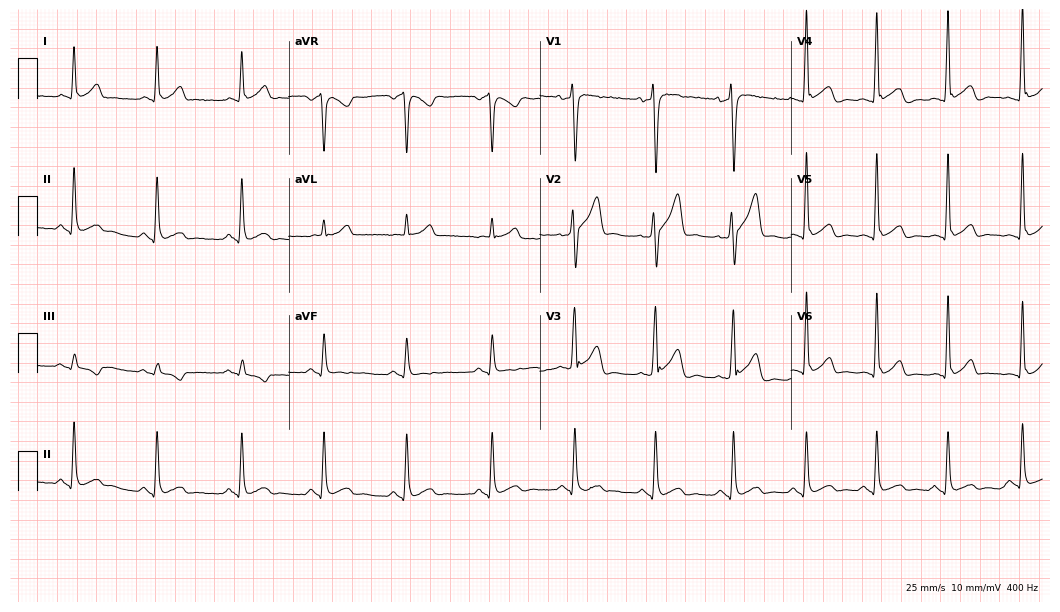
Resting 12-lead electrocardiogram (10.2-second recording at 400 Hz). Patient: a 43-year-old man. None of these six findings is recorded: first-degree AV block, right bundle branch block, left bundle branch block, sinus bradycardia, atrial fibrillation, sinus tachycardia. Other findings, if any, are not listed.